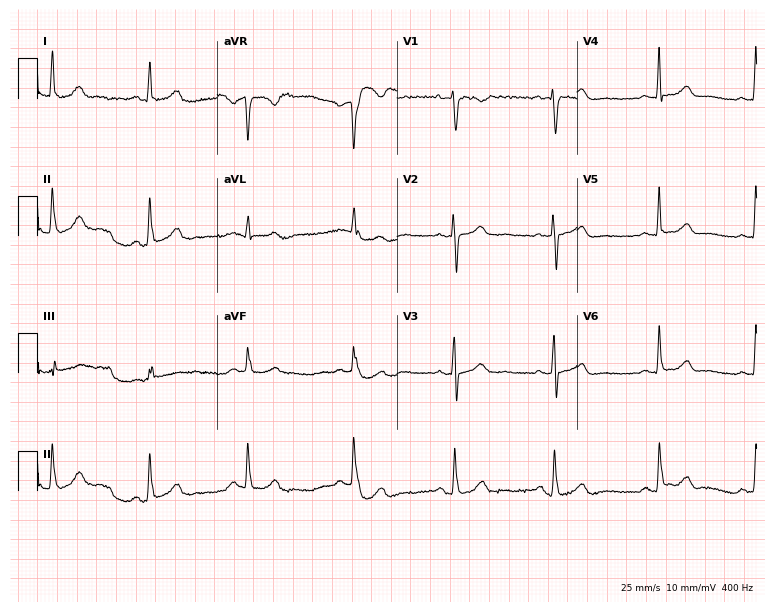
ECG (7.3-second recording at 400 Hz) — a 32-year-old woman. Labelled as a normal ECG.